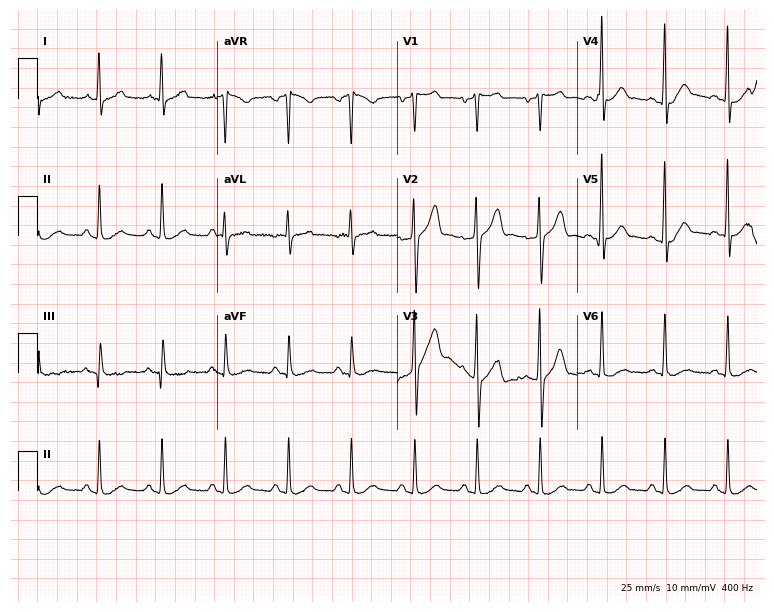
Standard 12-lead ECG recorded from a 53-year-old male patient. Read as a normal ECG.